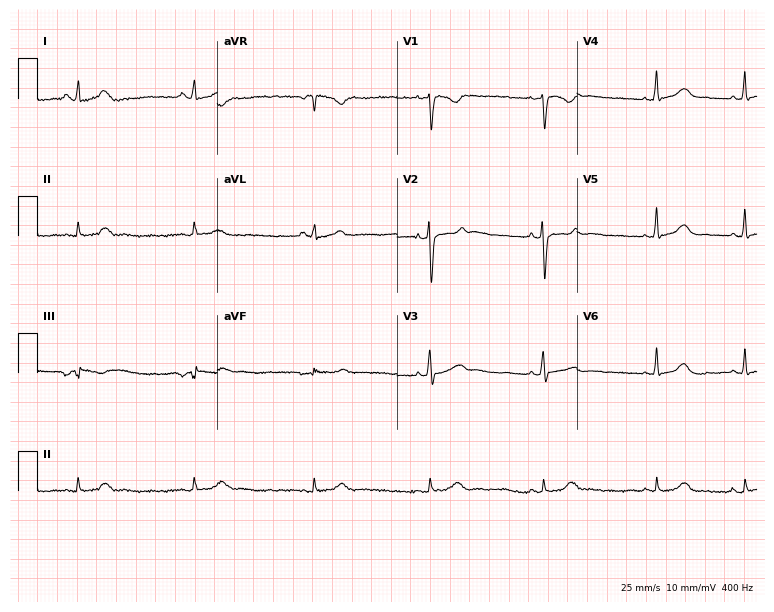
12-lead ECG from a 25-year-old woman. Labelled as a normal ECG.